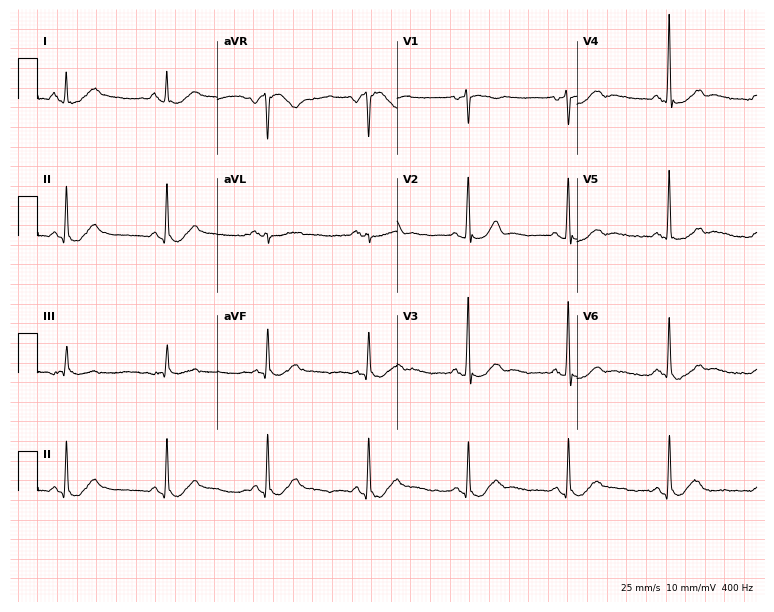
Standard 12-lead ECG recorded from a 77-year-old man (7.3-second recording at 400 Hz). Read as a normal ECG.